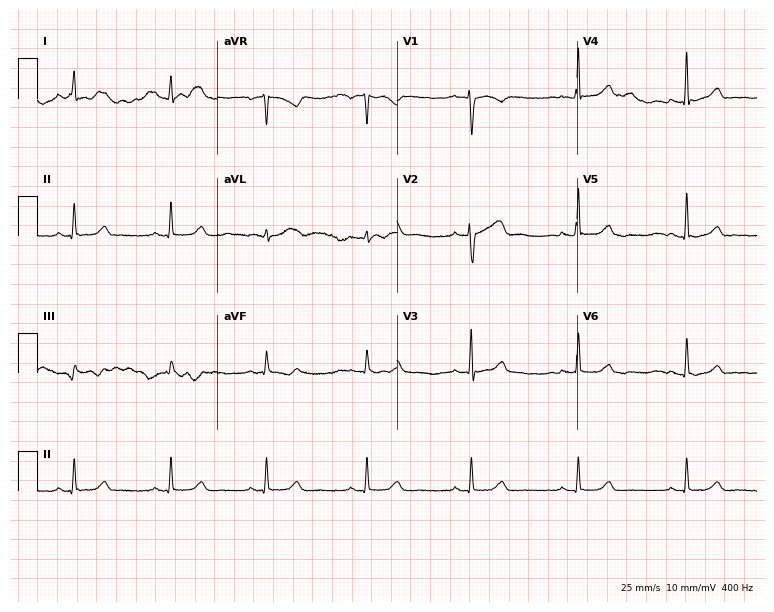
ECG — a 49-year-old woman. Labelled as a normal ECG.